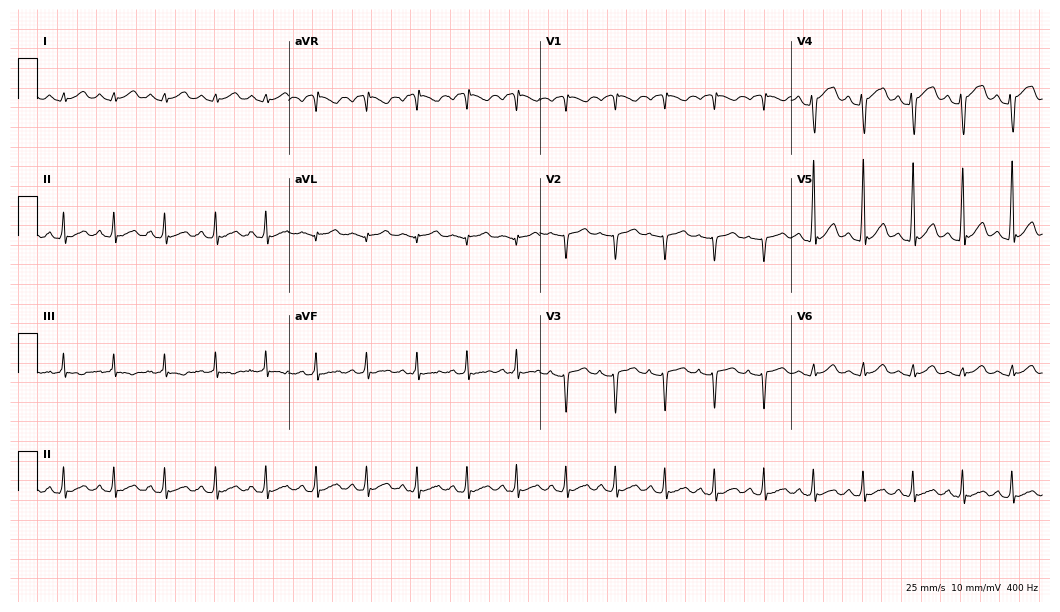
ECG (10.2-second recording at 400 Hz) — a female patient, 21 years old. Findings include sinus tachycardia (a sinus rate of 100 beats per minute or more).